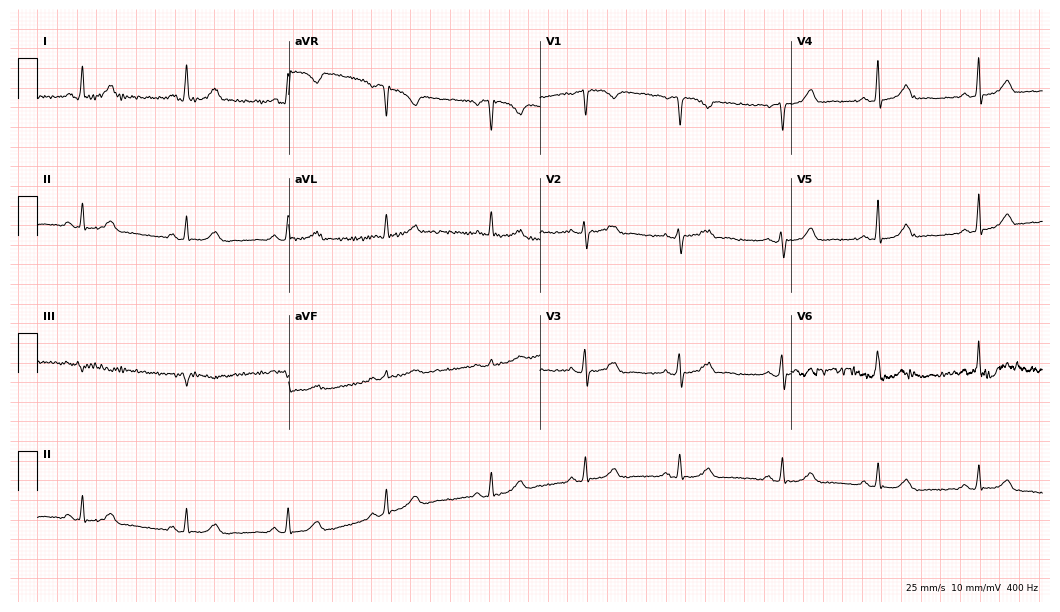
ECG — a woman, 47 years old. Labelled as a normal ECG.